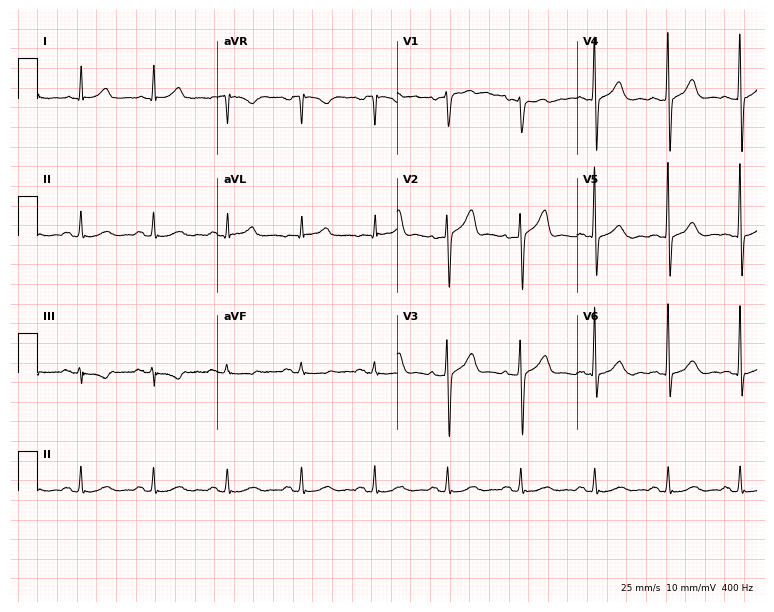
12-lead ECG from a 64-year-old male patient. Screened for six findings — first-degree AV block, right bundle branch block (RBBB), left bundle branch block (LBBB), sinus bradycardia, atrial fibrillation (AF), sinus tachycardia — none is recorded.